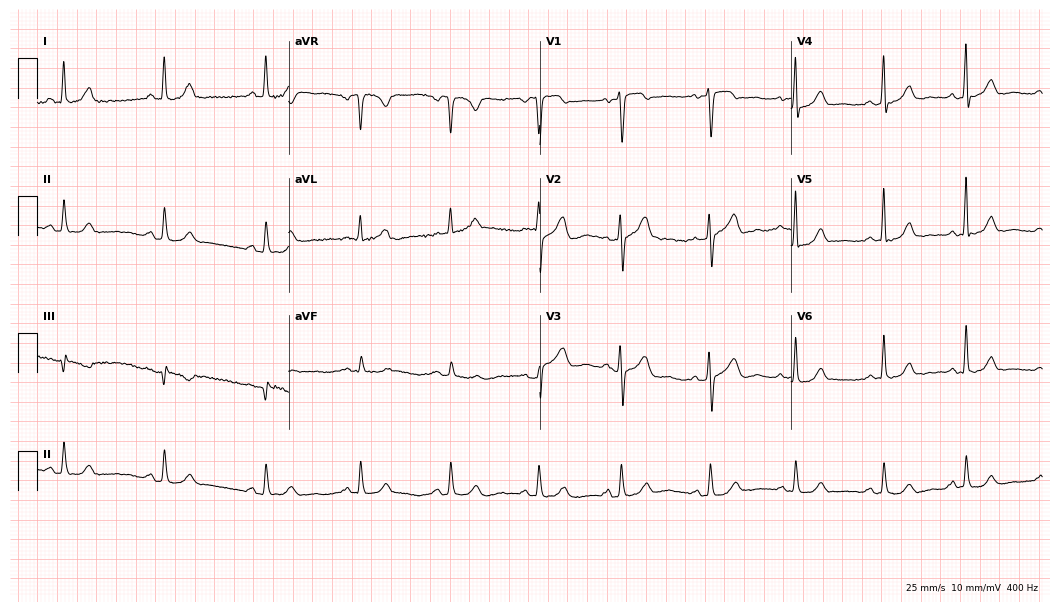
Resting 12-lead electrocardiogram (10.2-second recording at 400 Hz). Patient: a woman, 53 years old. None of these six findings is recorded: first-degree AV block, right bundle branch block, left bundle branch block, sinus bradycardia, atrial fibrillation, sinus tachycardia.